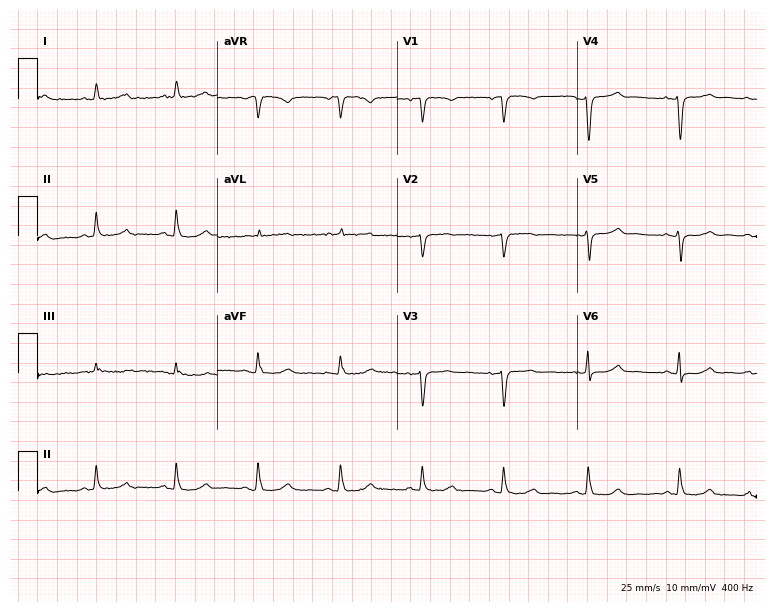
Resting 12-lead electrocardiogram. Patient: a 65-year-old female. None of these six findings is recorded: first-degree AV block, right bundle branch block, left bundle branch block, sinus bradycardia, atrial fibrillation, sinus tachycardia. Only these six findings were labelled.